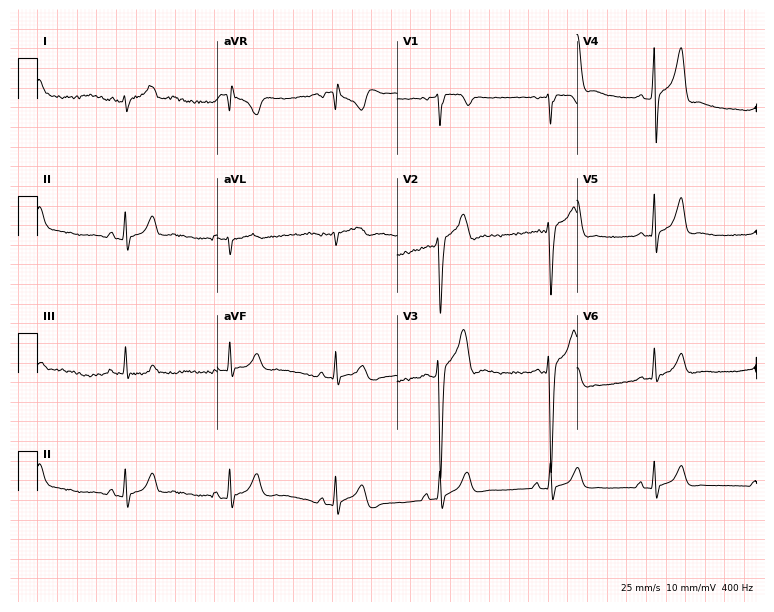
Electrocardiogram, a 26-year-old man. Of the six screened findings (first-degree AV block, right bundle branch block (RBBB), left bundle branch block (LBBB), sinus bradycardia, atrial fibrillation (AF), sinus tachycardia), none is recorded. Other findings, if any, are not listed.